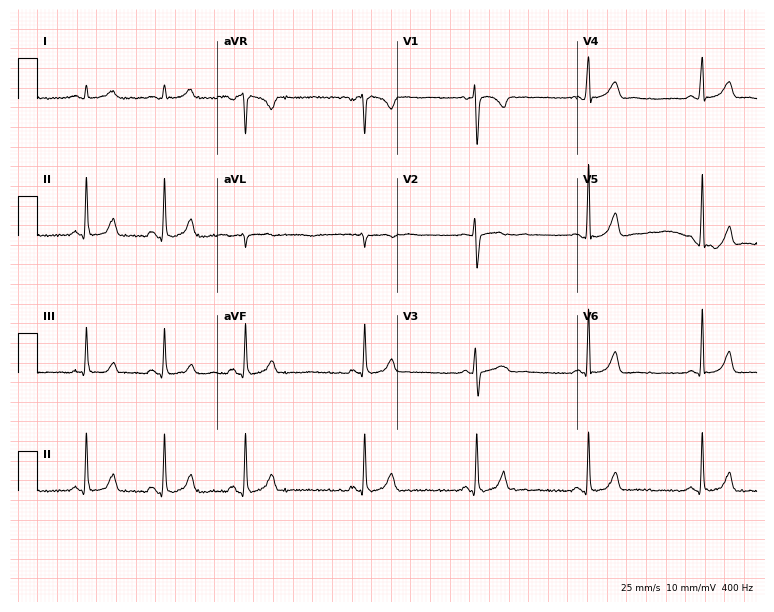
12-lead ECG from a woman, 25 years old (7.3-second recording at 400 Hz). Recorded interpretation: within normal limits.